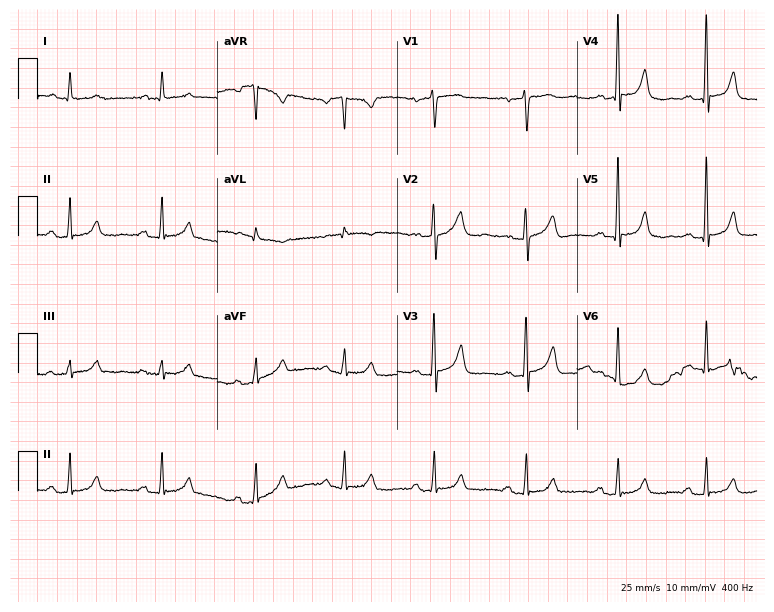
12-lead ECG from a female patient, 78 years old (7.3-second recording at 400 Hz). No first-degree AV block, right bundle branch block (RBBB), left bundle branch block (LBBB), sinus bradycardia, atrial fibrillation (AF) or sinus tachycardia recorded for this tracing.